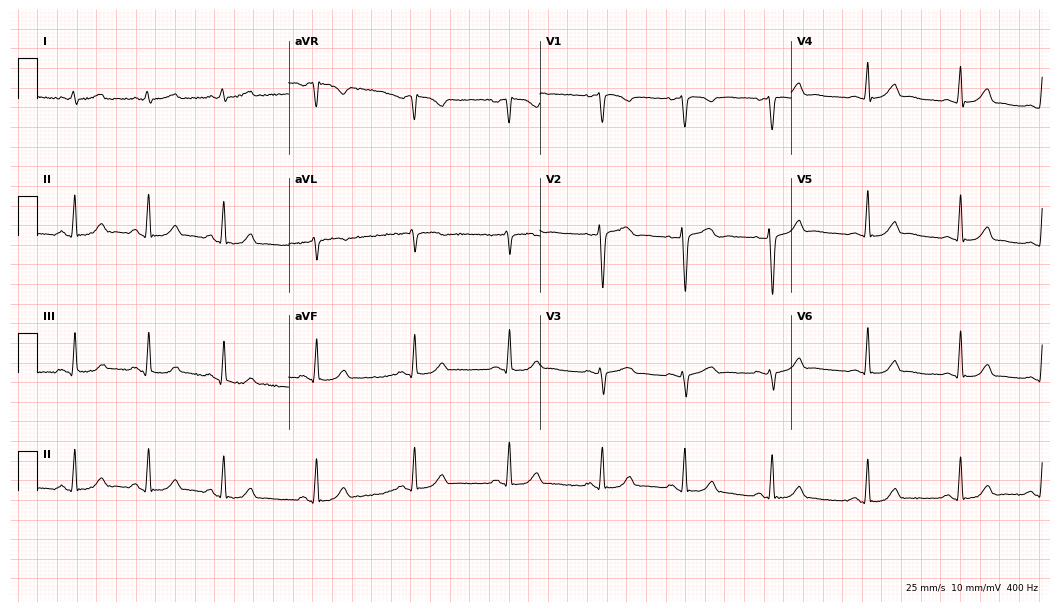
Electrocardiogram (10.2-second recording at 400 Hz), a woman, 33 years old. Overall reading on record: normal ECG.